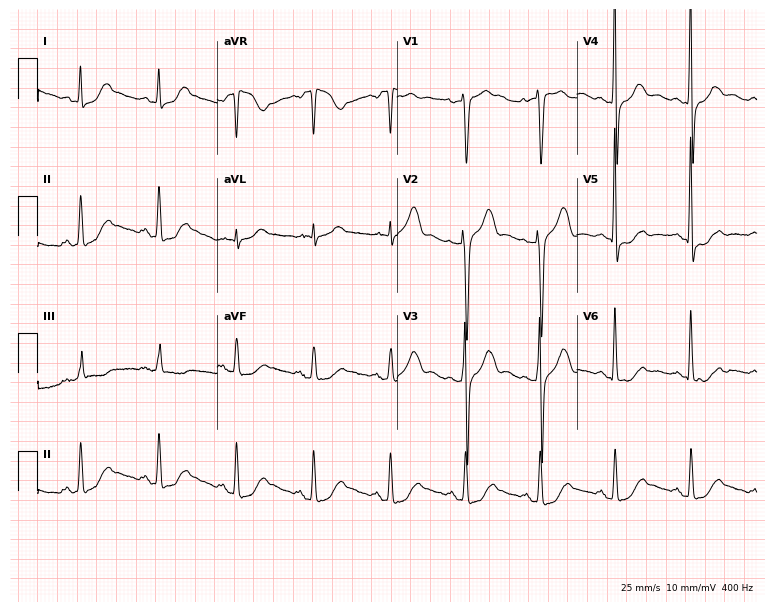
12-lead ECG from a male patient, 51 years old. Screened for six findings — first-degree AV block, right bundle branch block, left bundle branch block, sinus bradycardia, atrial fibrillation, sinus tachycardia — none is recorded.